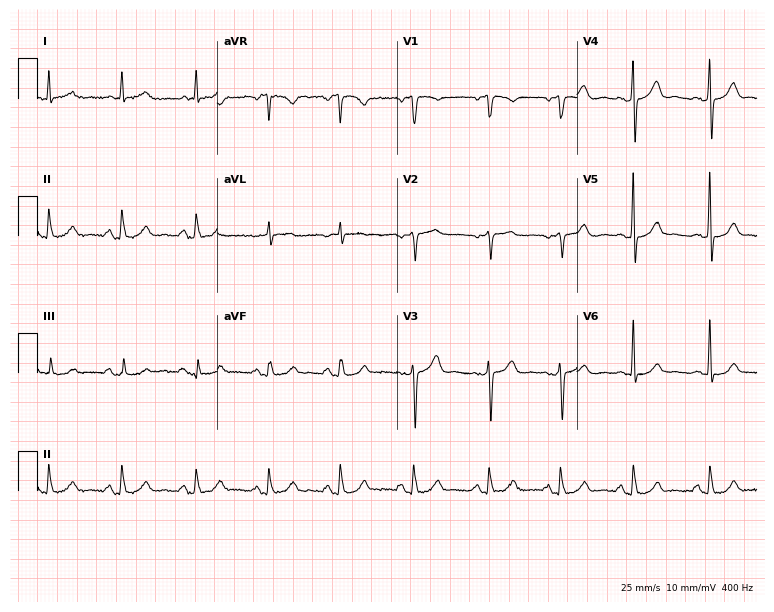
12-lead ECG from a man, 73 years old. Recorded interpretation: within normal limits.